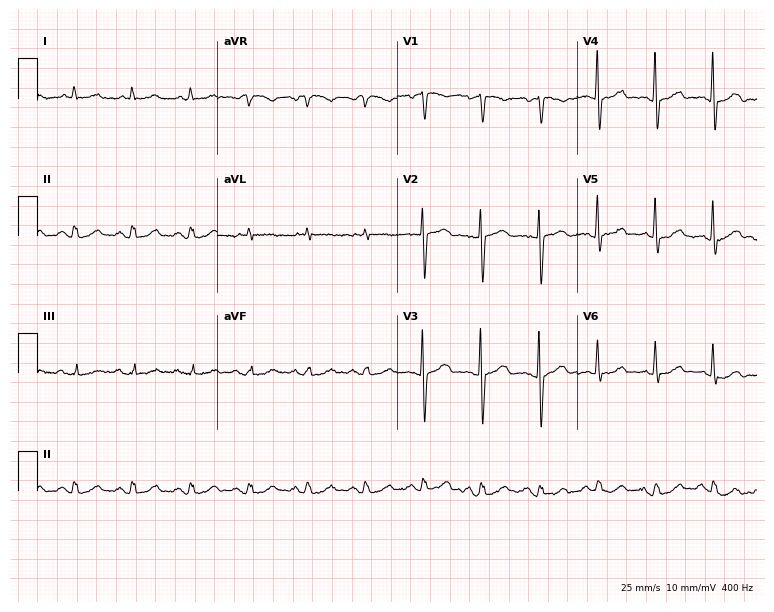
Resting 12-lead electrocardiogram. Patient: a man, 83 years old. None of these six findings is recorded: first-degree AV block, right bundle branch block, left bundle branch block, sinus bradycardia, atrial fibrillation, sinus tachycardia.